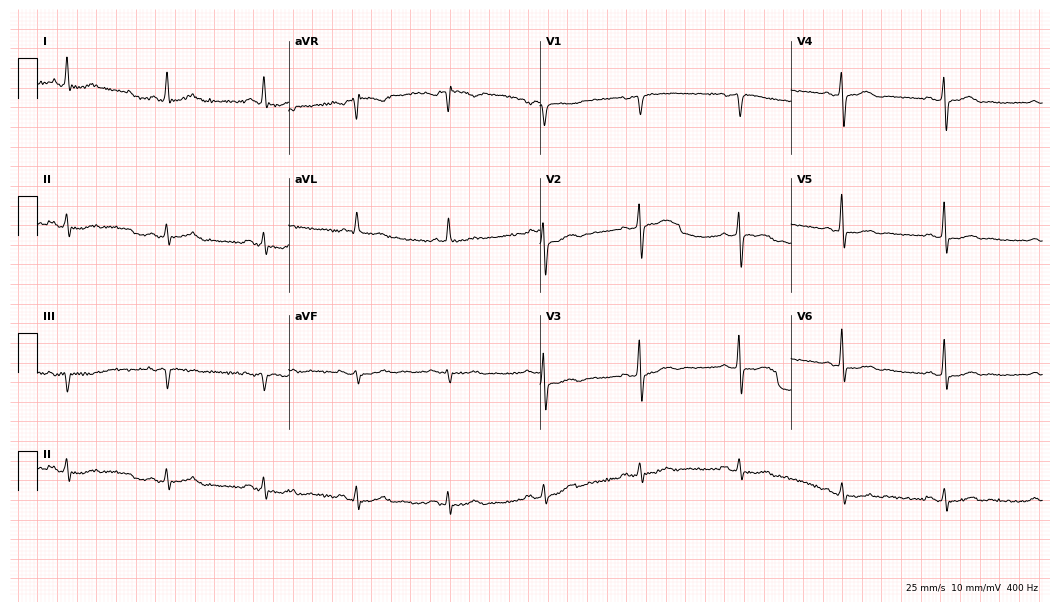
ECG — a male, 60 years old. Labelled as a normal ECG.